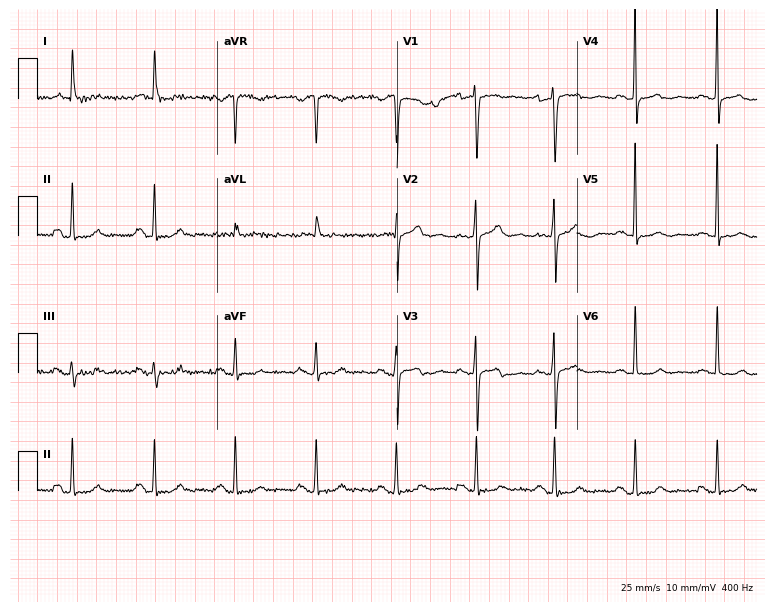
Electrocardiogram (7.3-second recording at 400 Hz), a 65-year-old female patient. Of the six screened findings (first-degree AV block, right bundle branch block (RBBB), left bundle branch block (LBBB), sinus bradycardia, atrial fibrillation (AF), sinus tachycardia), none is recorded.